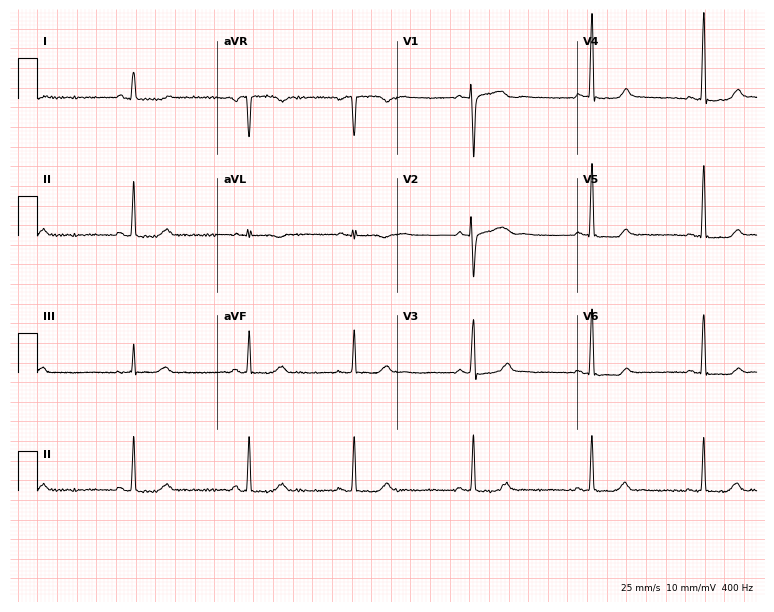
ECG — a female, 29 years old. Screened for six findings — first-degree AV block, right bundle branch block, left bundle branch block, sinus bradycardia, atrial fibrillation, sinus tachycardia — none is recorded. Only these six findings were labelled.